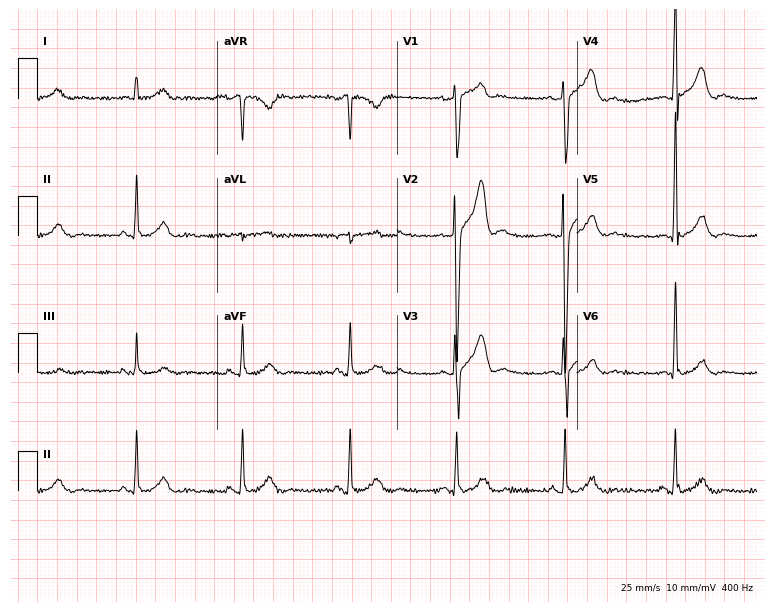
12-lead ECG from a man, 47 years old (7.3-second recording at 400 Hz). No first-degree AV block, right bundle branch block, left bundle branch block, sinus bradycardia, atrial fibrillation or sinus tachycardia recorded for this tracing. Only these six findings were labelled.